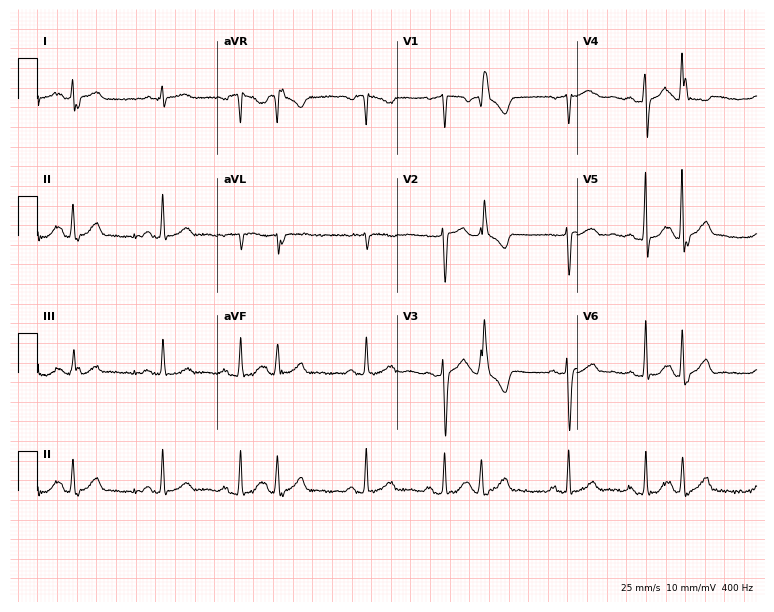
12-lead ECG from a 54-year-old woman. No first-degree AV block, right bundle branch block (RBBB), left bundle branch block (LBBB), sinus bradycardia, atrial fibrillation (AF) or sinus tachycardia recorded for this tracing.